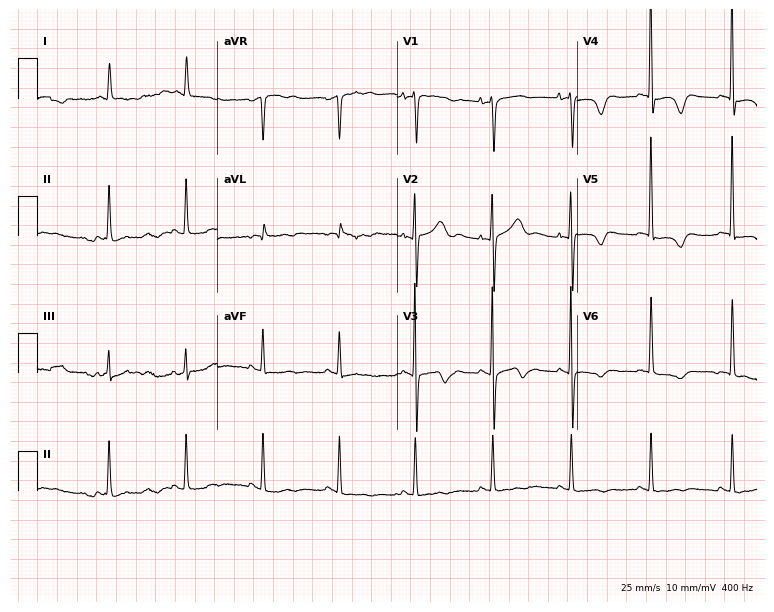
Standard 12-lead ECG recorded from an 85-year-old woman. None of these six findings is recorded: first-degree AV block, right bundle branch block, left bundle branch block, sinus bradycardia, atrial fibrillation, sinus tachycardia.